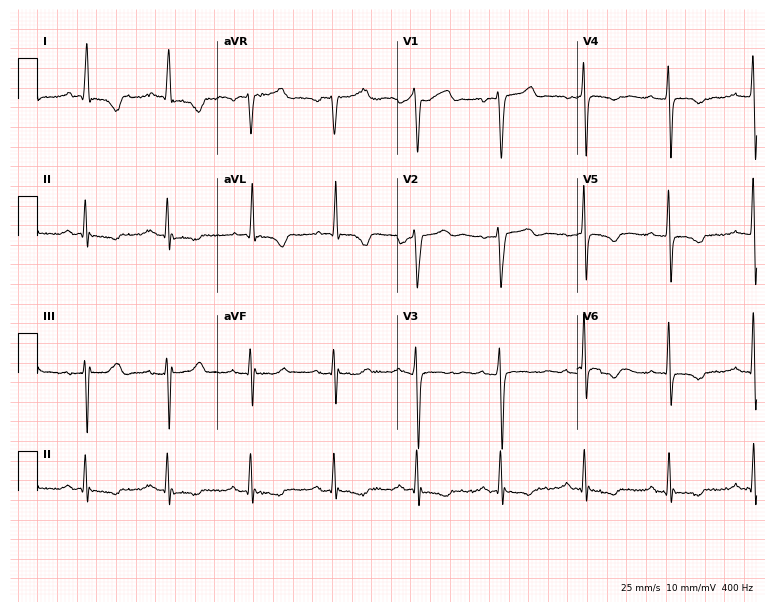
Electrocardiogram (7.3-second recording at 400 Hz), a female patient, 65 years old. Of the six screened findings (first-degree AV block, right bundle branch block (RBBB), left bundle branch block (LBBB), sinus bradycardia, atrial fibrillation (AF), sinus tachycardia), none is recorded.